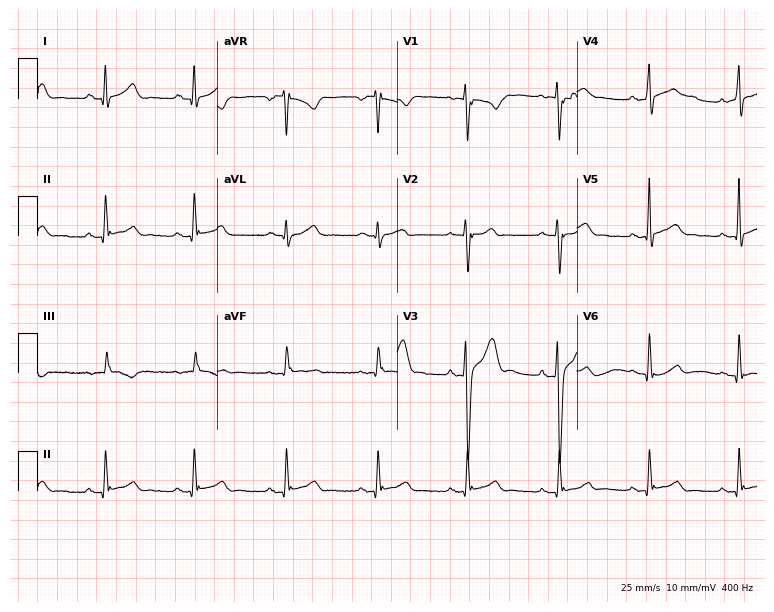
ECG — a male, 30 years old. Labelled as a normal ECG.